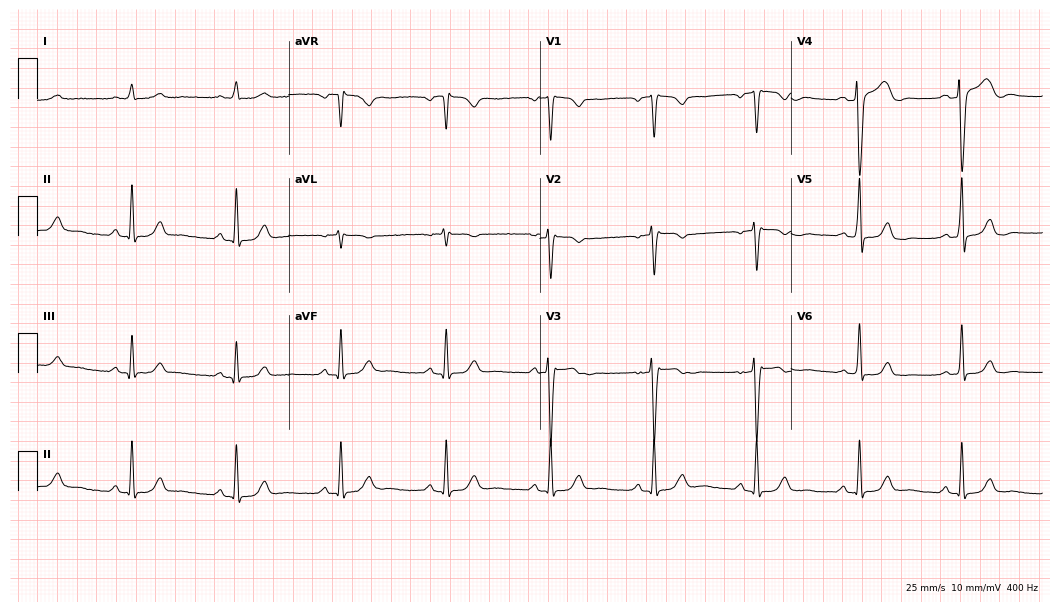
ECG — a male patient, 46 years old. Screened for six findings — first-degree AV block, right bundle branch block (RBBB), left bundle branch block (LBBB), sinus bradycardia, atrial fibrillation (AF), sinus tachycardia — none is recorded.